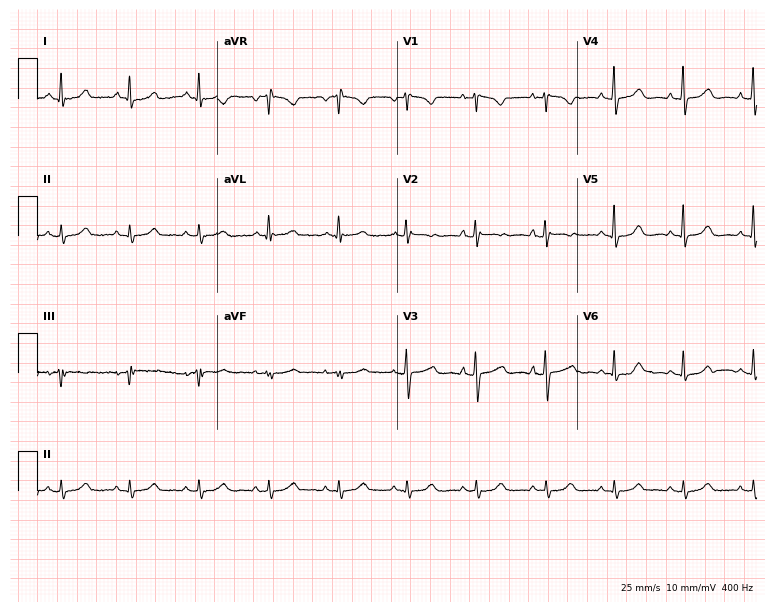
12-lead ECG from a female patient, 42 years old. Recorded interpretation: within normal limits.